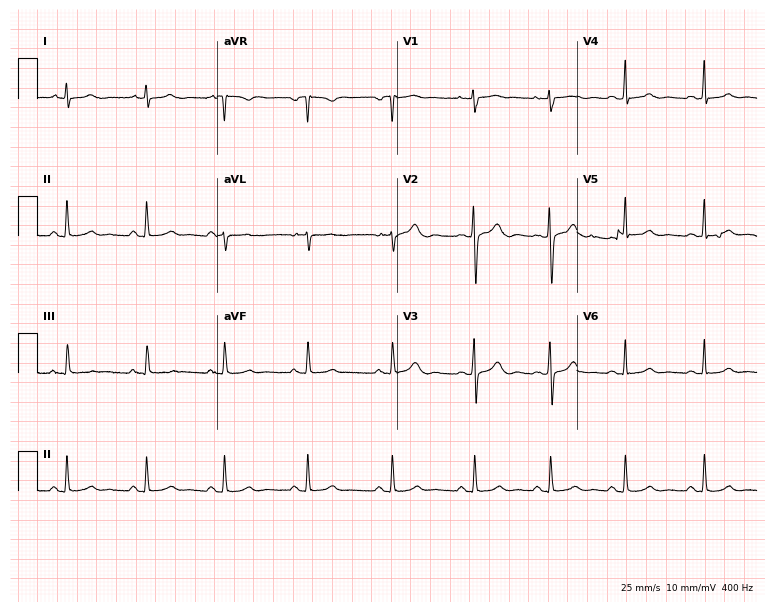
ECG — a woman, 23 years old. Labelled as a normal ECG.